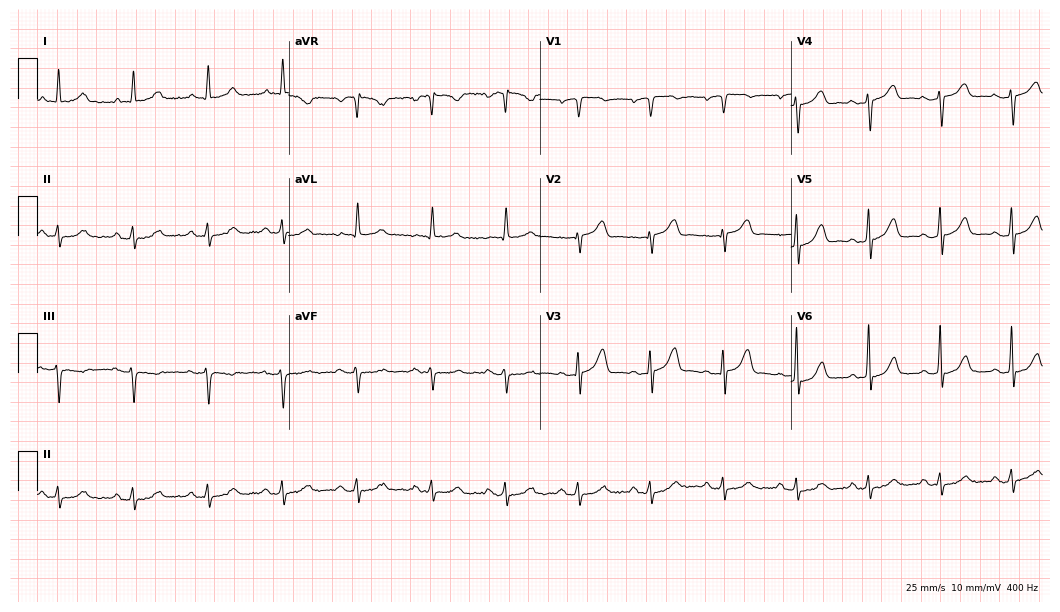
ECG — a 72-year-old male patient. Labelled as a normal ECG.